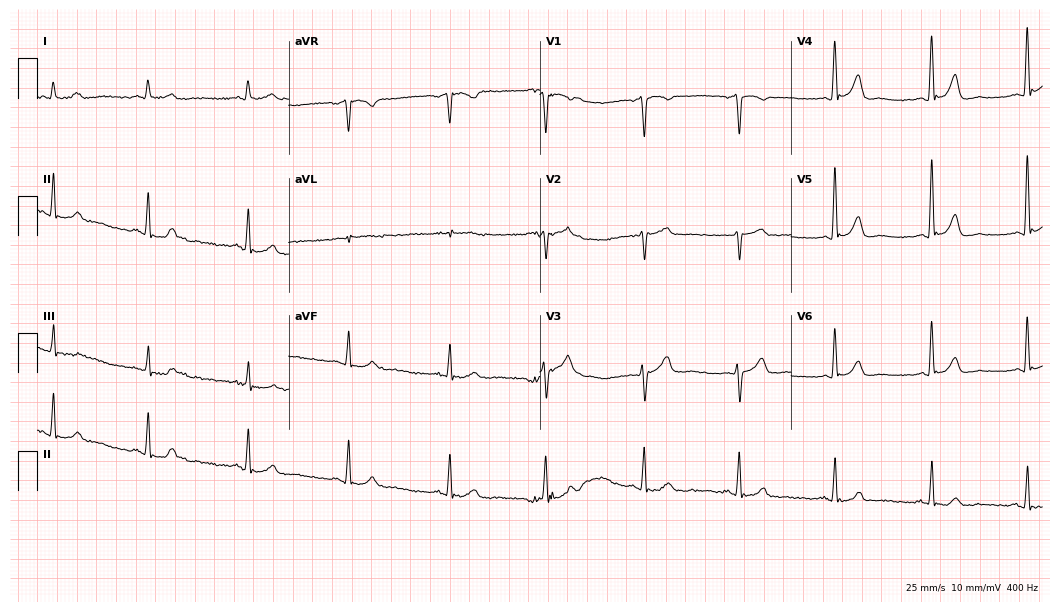
12-lead ECG from a 48-year-old male. No first-degree AV block, right bundle branch block, left bundle branch block, sinus bradycardia, atrial fibrillation or sinus tachycardia recorded for this tracing.